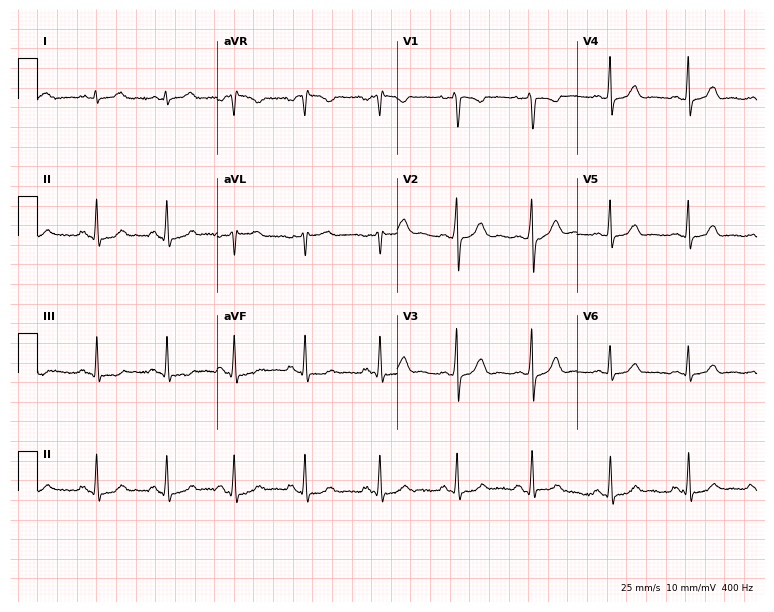
Resting 12-lead electrocardiogram. Patient: a female, 36 years old. None of these six findings is recorded: first-degree AV block, right bundle branch block, left bundle branch block, sinus bradycardia, atrial fibrillation, sinus tachycardia. Findings outside these six are not listed.